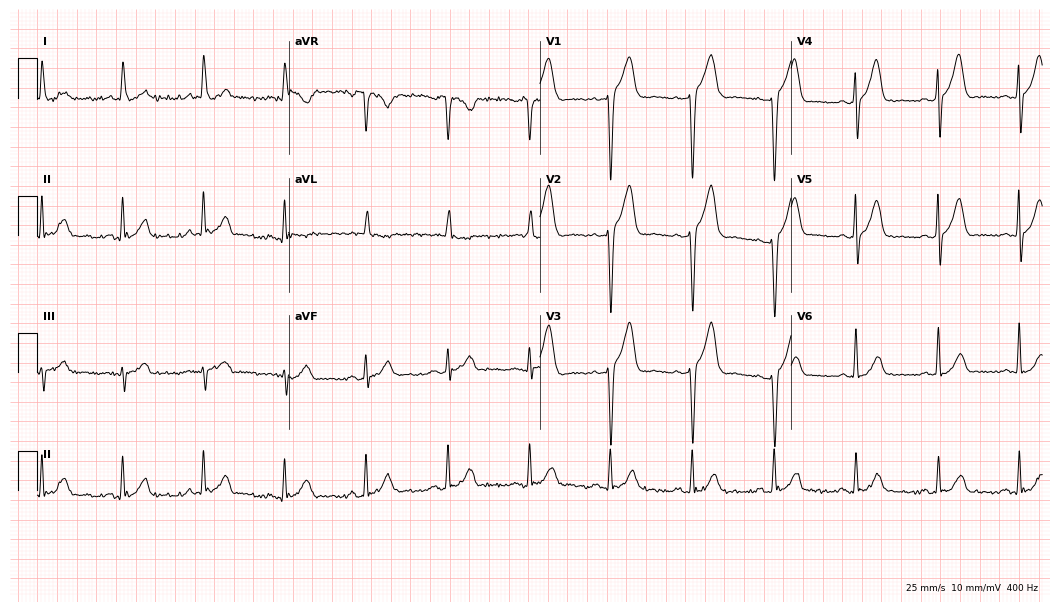
12-lead ECG from an 81-year-old woman (10.2-second recording at 400 Hz). No first-degree AV block, right bundle branch block, left bundle branch block, sinus bradycardia, atrial fibrillation or sinus tachycardia recorded for this tracing. Other findings, if any, are not listed.